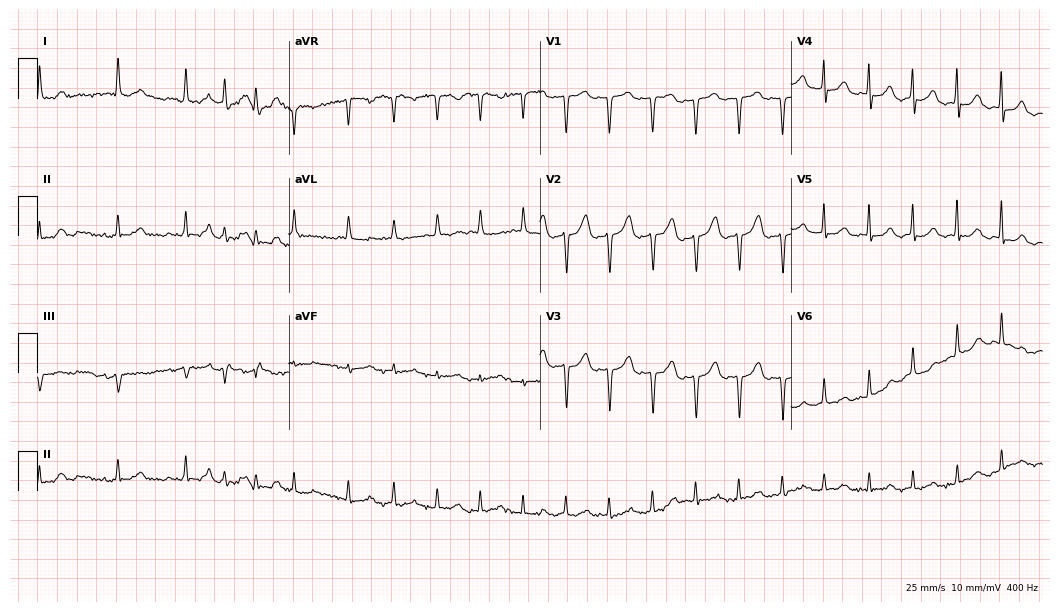
ECG — a female patient, 83 years old. Screened for six findings — first-degree AV block, right bundle branch block, left bundle branch block, sinus bradycardia, atrial fibrillation, sinus tachycardia — none is recorded.